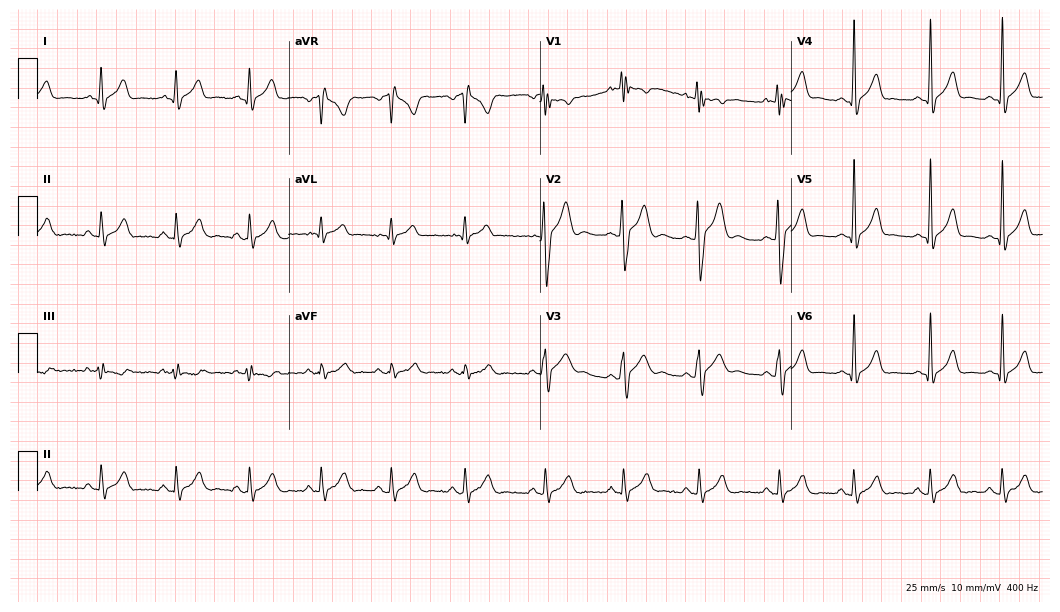
Resting 12-lead electrocardiogram (10.2-second recording at 400 Hz). Patient: a 19-year-old man. Read as a normal ECG.